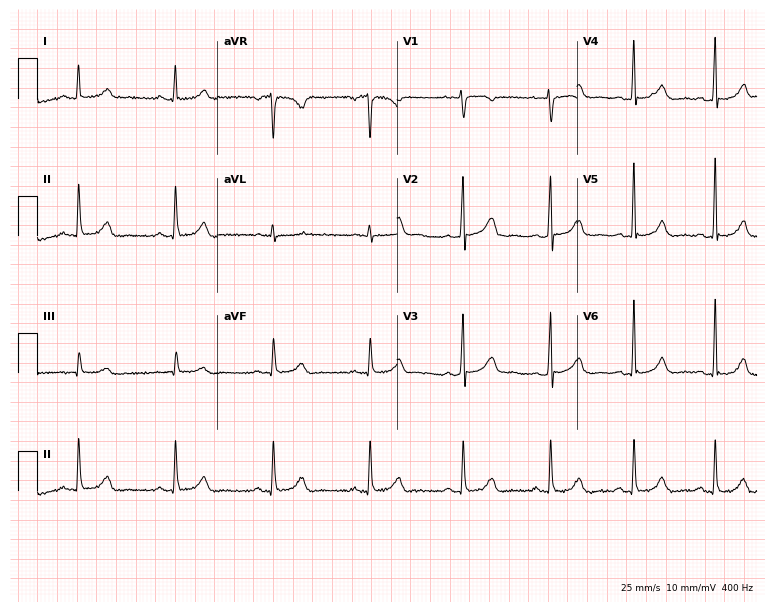
12-lead ECG from a 41-year-old female (7.3-second recording at 400 Hz). No first-degree AV block, right bundle branch block, left bundle branch block, sinus bradycardia, atrial fibrillation or sinus tachycardia recorded for this tracing.